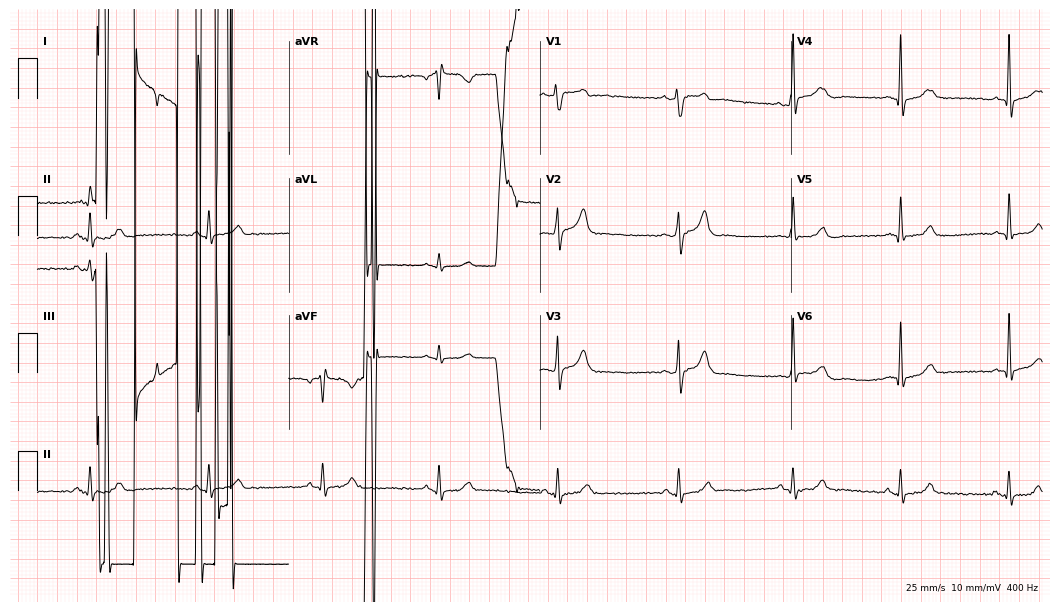
Electrocardiogram, a 64-year-old man. Of the six screened findings (first-degree AV block, right bundle branch block (RBBB), left bundle branch block (LBBB), sinus bradycardia, atrial fibrillation (AF), sinus tachycardia), none is recorded. Findings outside these six are not listed.